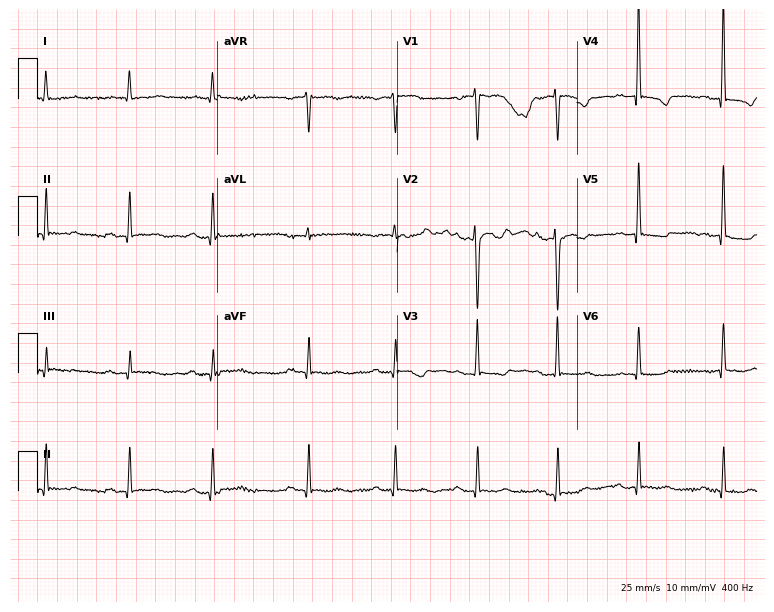
12-lead ECG (7.3-second recording at 400 Hz) from a woman, 54 years old. Screened for six findings — first-degree AV block, right bundle branch block, left bundle branch block, sinus bradycardia, atrial fibrillation, sinus tachycardia — none is recorded. Only these six findings were labelled.